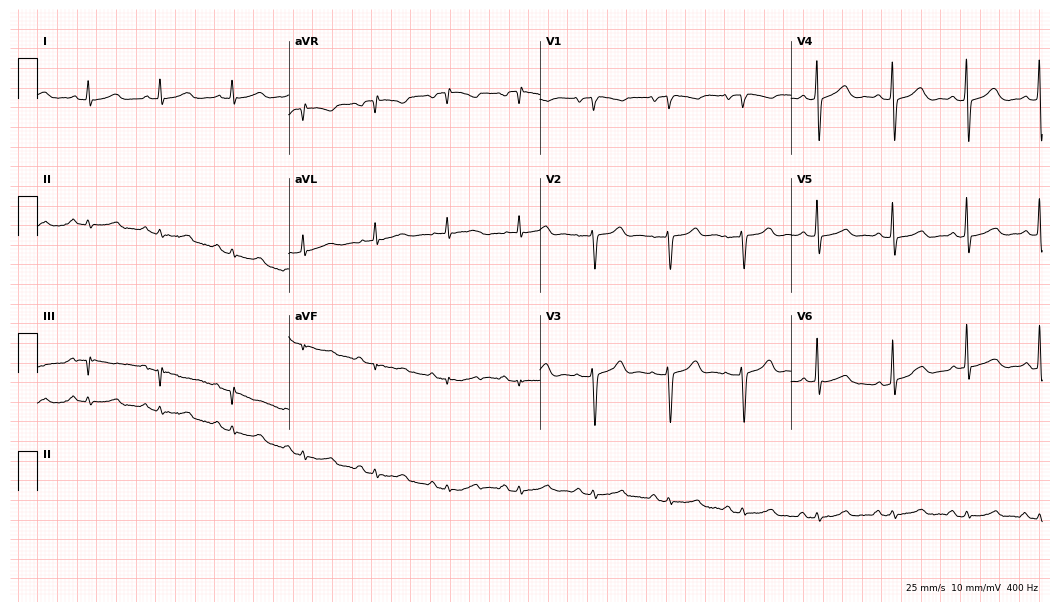
Electrocardiogram (10.2-second recording at 400 Hz), a female, 81 years old. Overall reading on record: normal ECG.